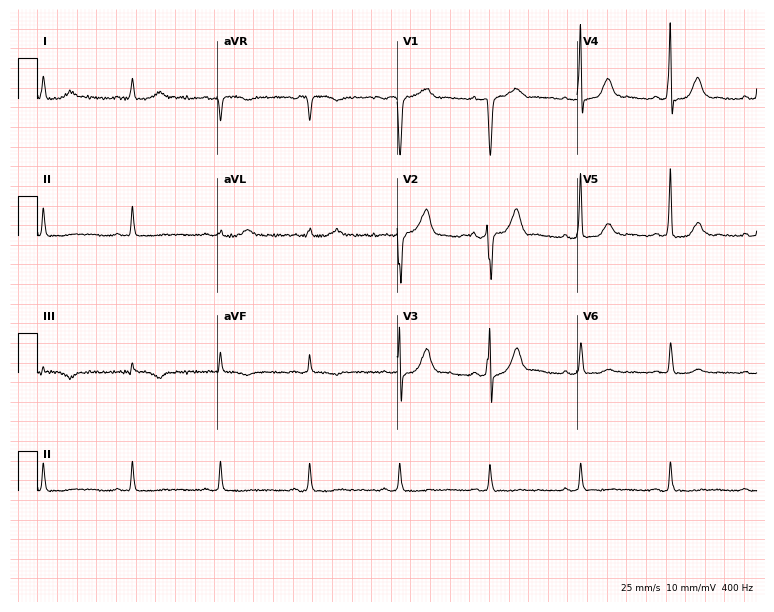
Standard 12-lead ECG recorded from a 78-year-old man. Read as a normal ECG.